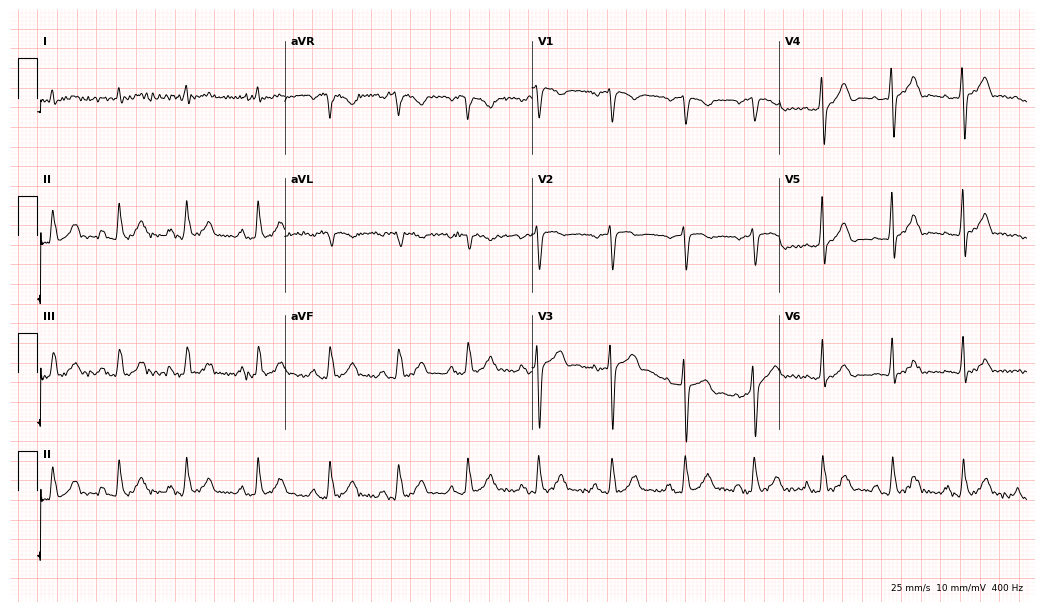
Electrocardiogram, a male patient, 68 years old. Overall reading on record: normal ECG.